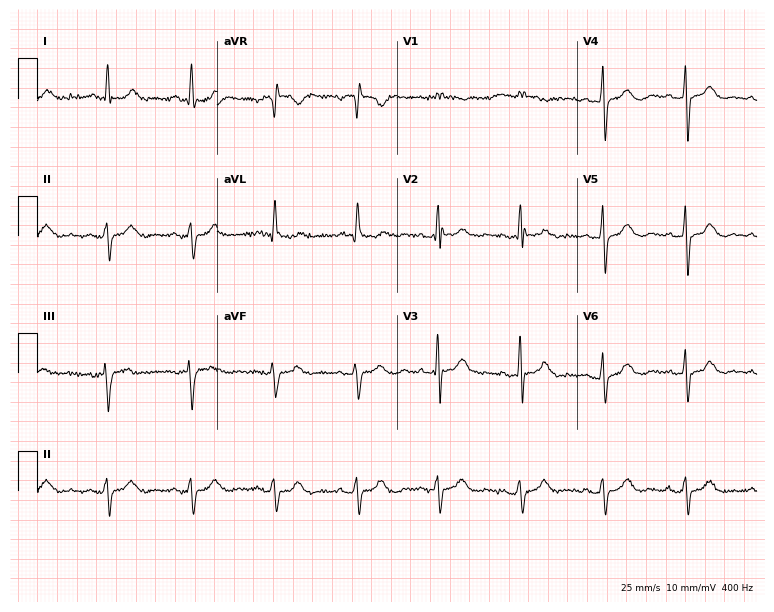
Resting 12-lead electrocardiogram (7.3-second recording at 400 Hz). Patient: a female, 85 years old. None of these six findings is recorded: first-degree AV block, right bundle branch block, left bundle branch block, sinus bradycardia, atrial fibrillation, sinus tachycardia.